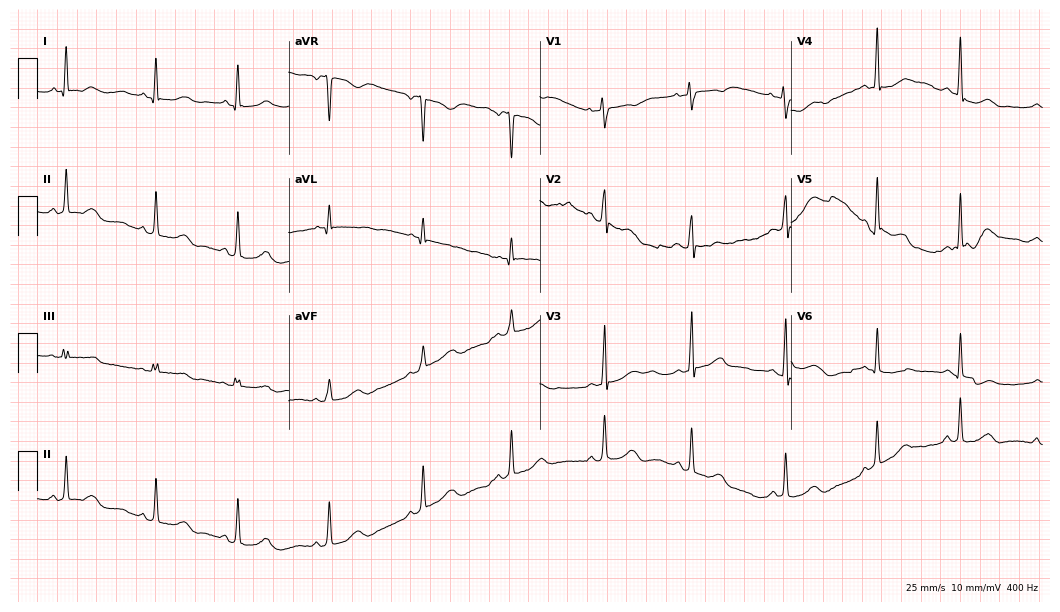
ECG — a 36-year-old woman. Labelled as a normal ECG.